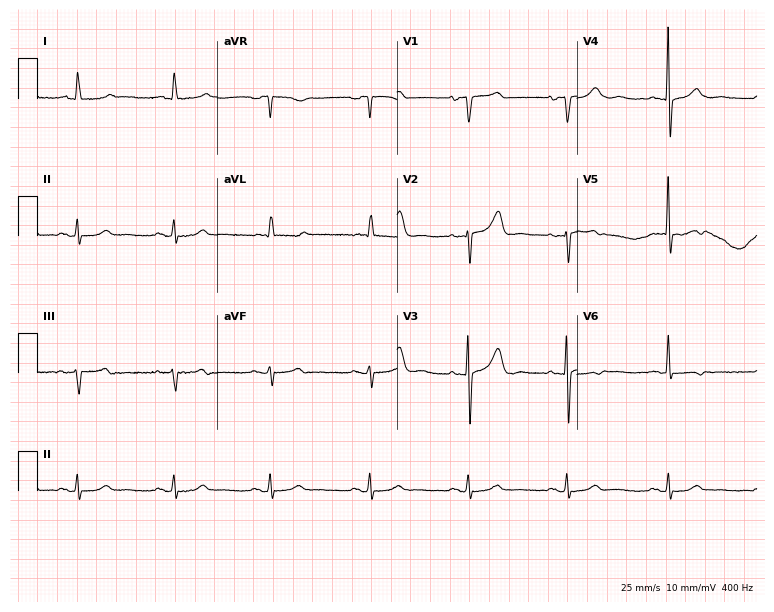
ECG — a 70-year-old female patient. Screened for six findings — first-degree AV block, right bundle branch block (RBBB), left bundle branch block (LBBB), sinus bradycardia, atrial fibrillation (AF), sinus tachycardia — none is recorded.